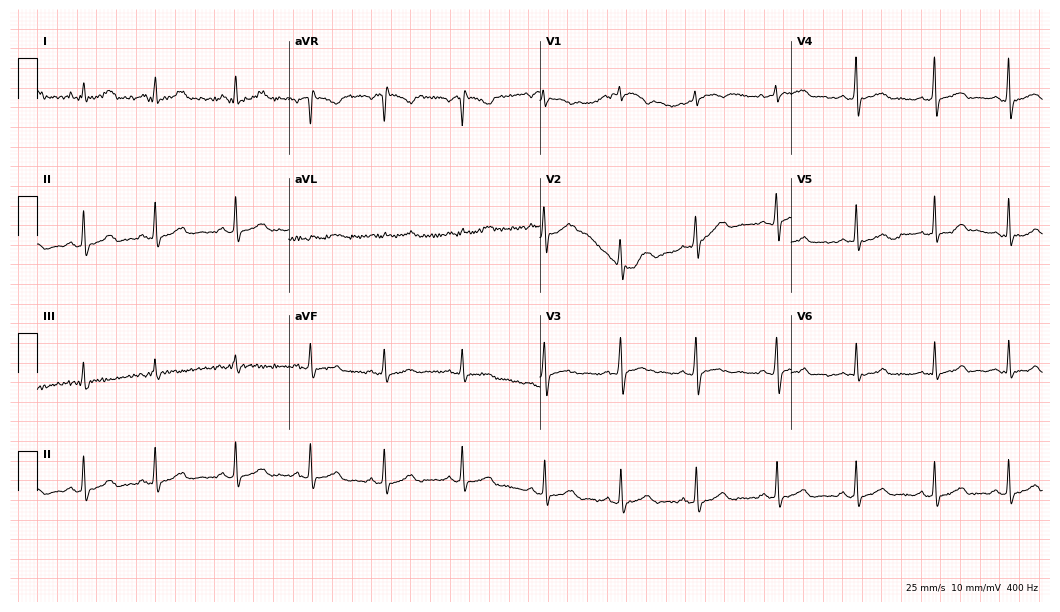
12-lead ECG from a 28-year-old female patient. Labelled as a normal ECG.